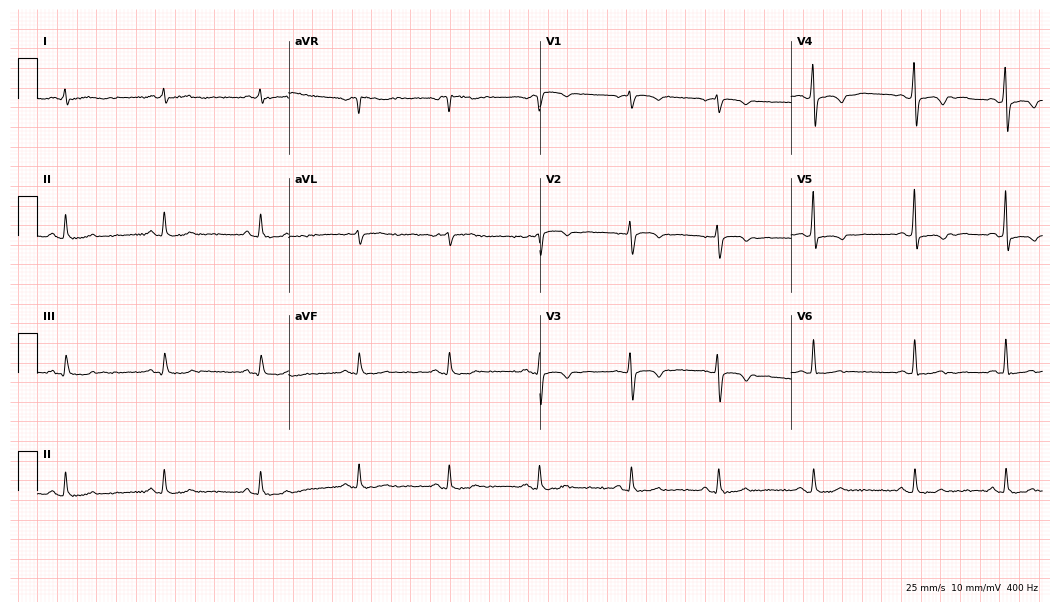
ECG — a 52-year-old woman. Screened for six findings — first-degree AV block, right bundle branch block (RBBB), left bundle branch block (LBBB), sinus bradycardia, atrial fibrillation (AF), sinus tachycardia — none is recorded.